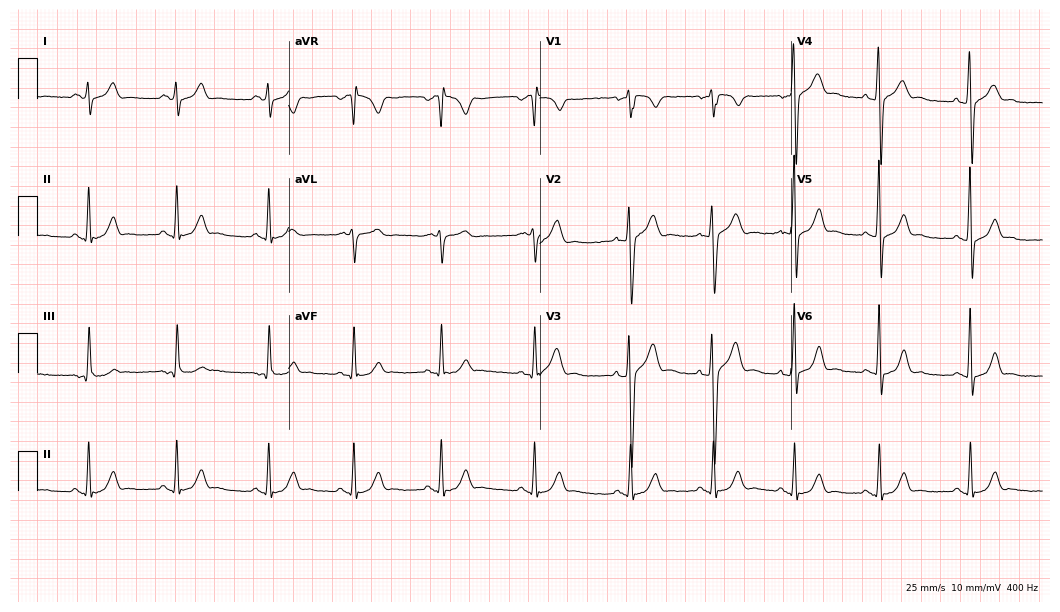
Standard 12-lead ECG recorded from a 25-year-old male (10.2-second recording at 400 Hz). None of these six findings is recorded: first-degree AV block, right bundle branch block (RBBB), left bundle branch block (LBBB), sinus bradycardia, atrial fibrillation (AF), sinus tachycardia. Findings outside these six are not listed.